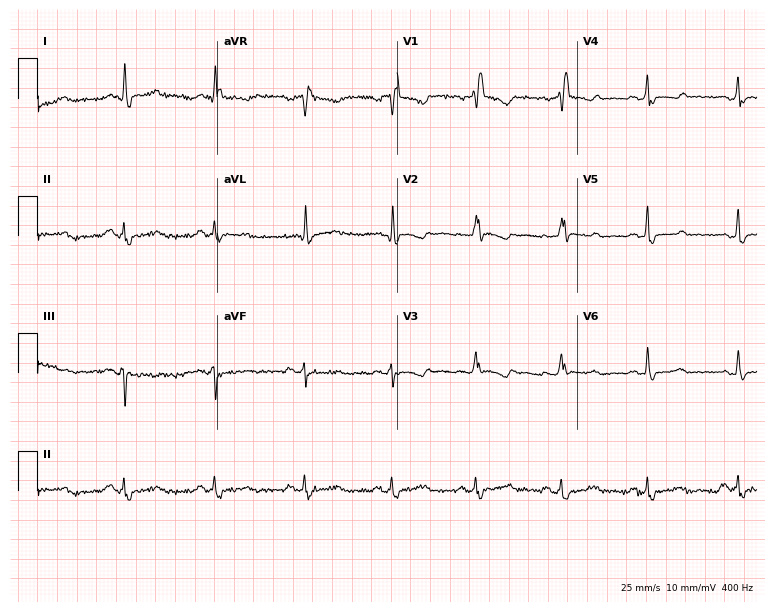
12-lead ECG from a female, 50 years old. No first-degree AV block, right bundle branch block, left bundle branch block, sinus bradycardia, atrial fibrillation or sinus tachycardia recorded for this tracing.